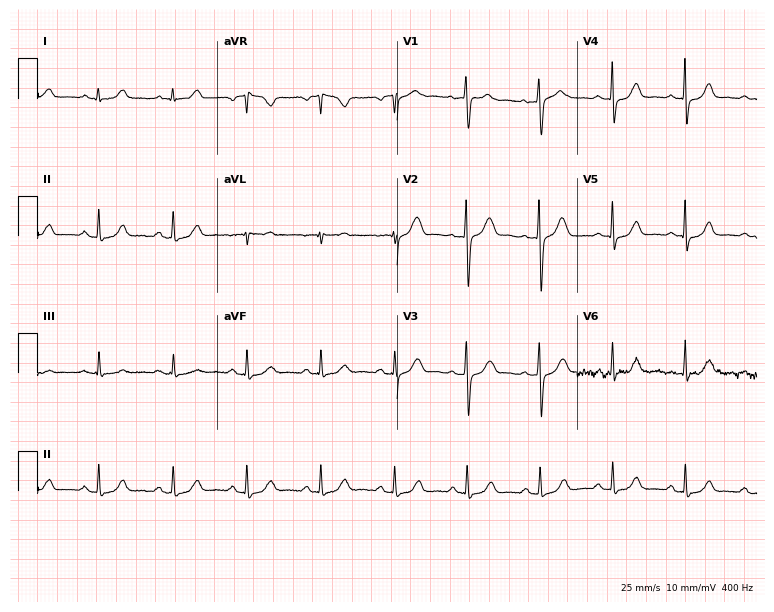
12-lead ECG from a 36-year-old female. Recorded interpretation: within normal limits.